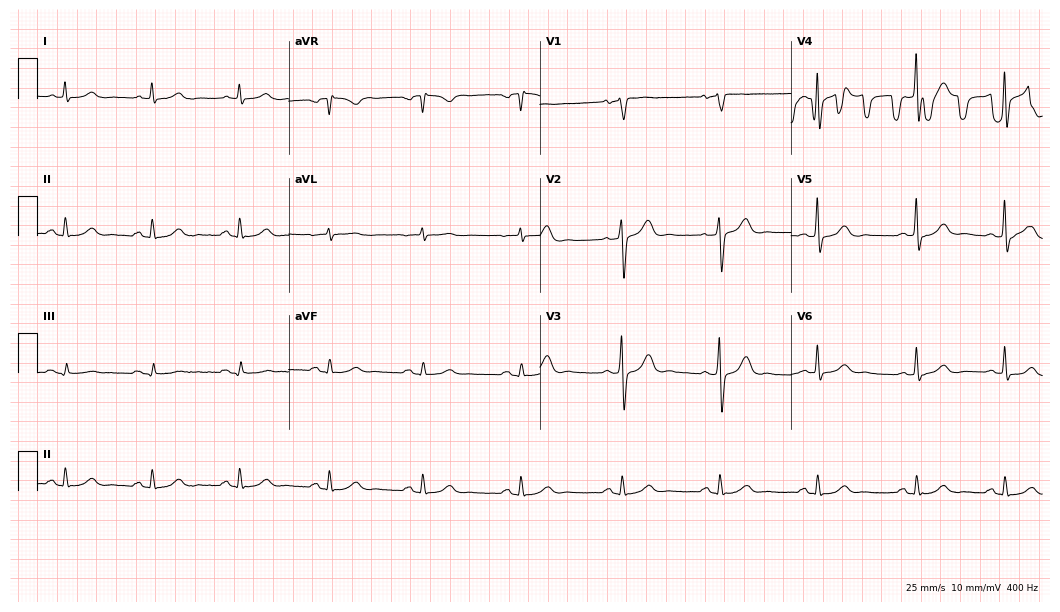
ECG — a male patient, 73 years old. Labelled as a normal ECG.